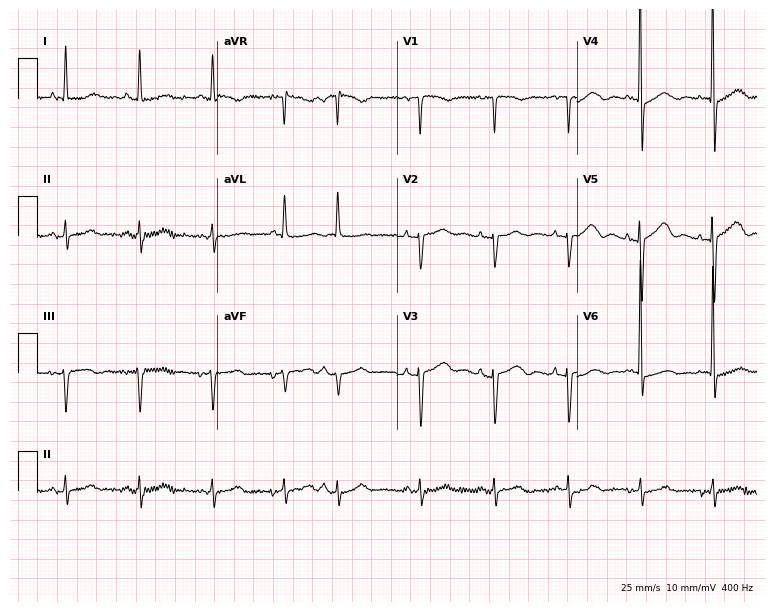
12-lead ECG from a 79-year-old woman (7.3-second recording at 400 Hz). No first-degree AV block, right bundle branch block, left bundle branch block, sinus bradycardia, atrial fibrillation or sinus tachycardia recorded for this tracing.